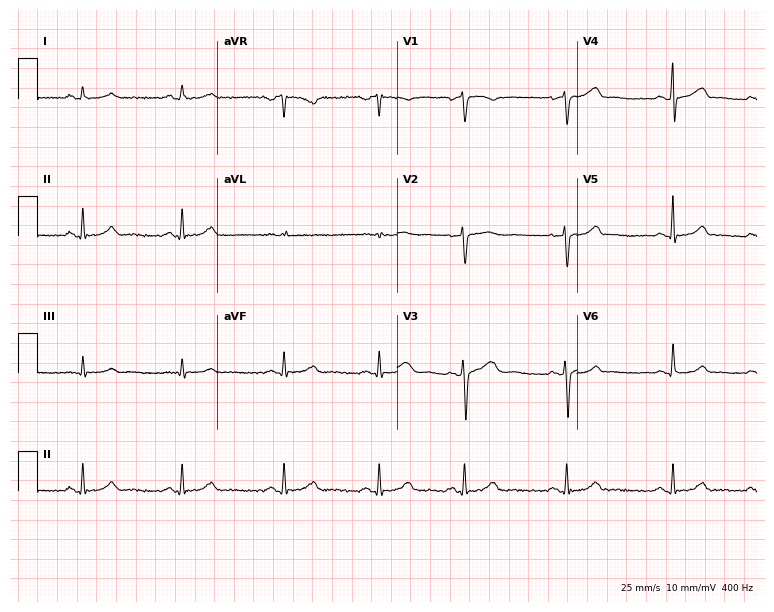
Electrocardiogram (7.3-second recording at 400 Hz), a 34-year-old female. Of the six screened findings (first-degree AV block, right bundle branch block, left bundle branch block, sinus bradycardia, atrial fibrillation, sinus tachycardia), none is recorded. Findings outside these six are not listed.